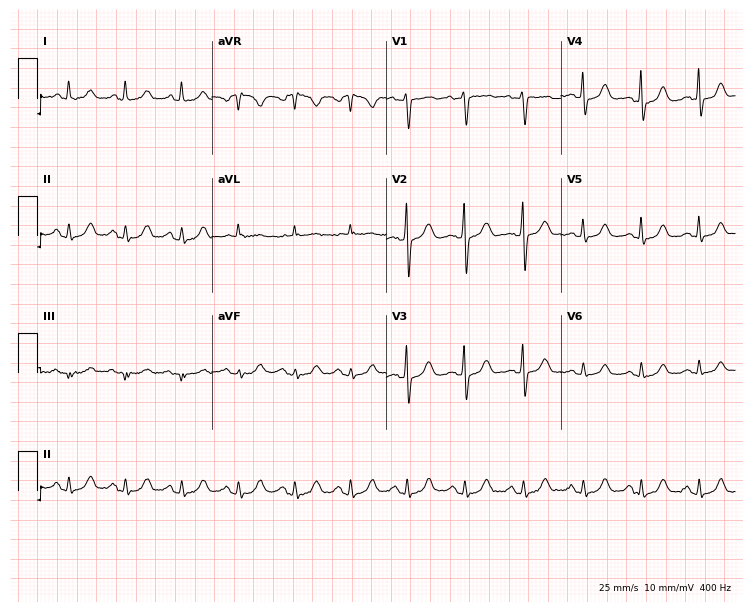
Electrocardiogram (7.1-second recording at 400 Hz), a female, 48 years old. Overall reading on record: normal ECG.